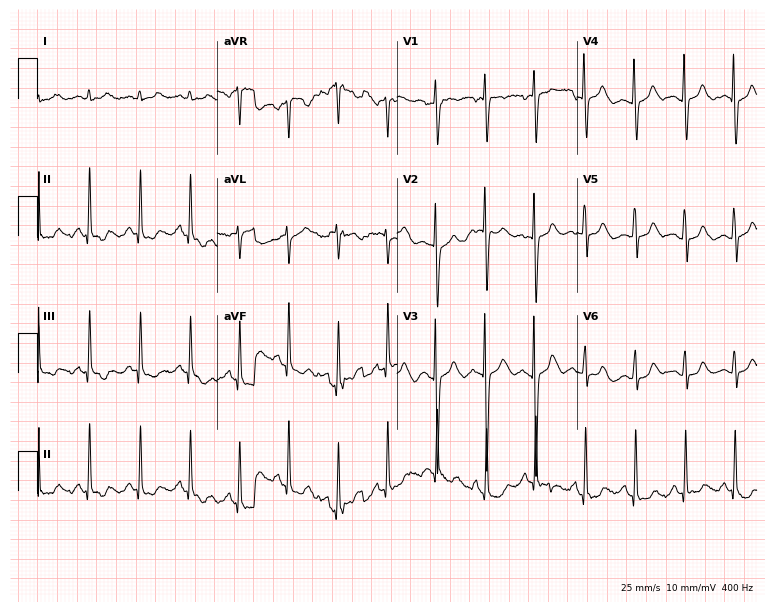
12-lead ECG from a female patient, 30 years old. Findings include sinus tachycardia (a sinus rate of 100 beats per minute or more).